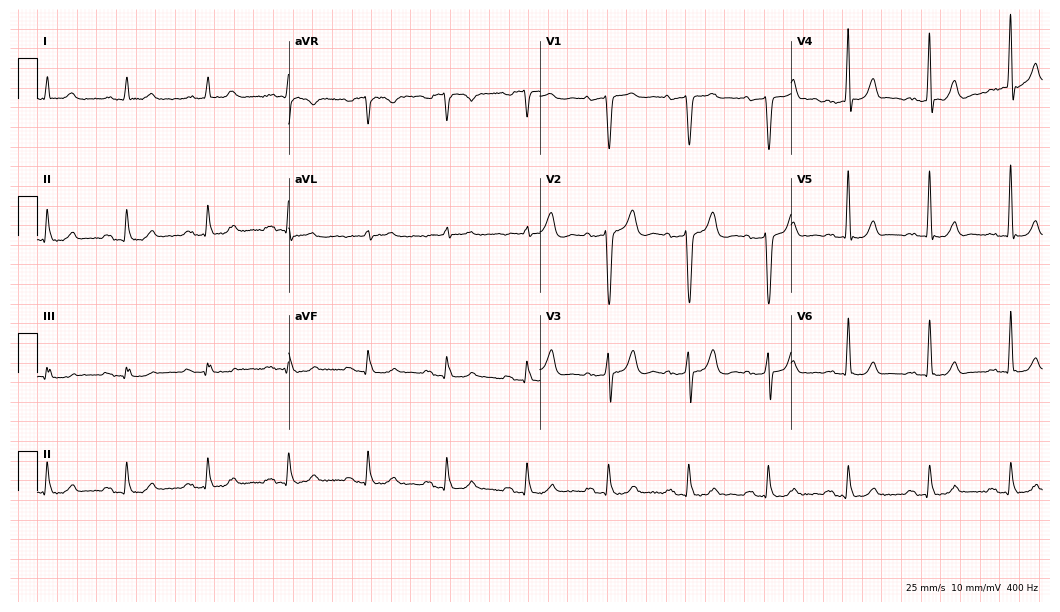
Resting 12-lead electrocardiogram. Patient: a male, 84 years old. Read as a normal ECG.